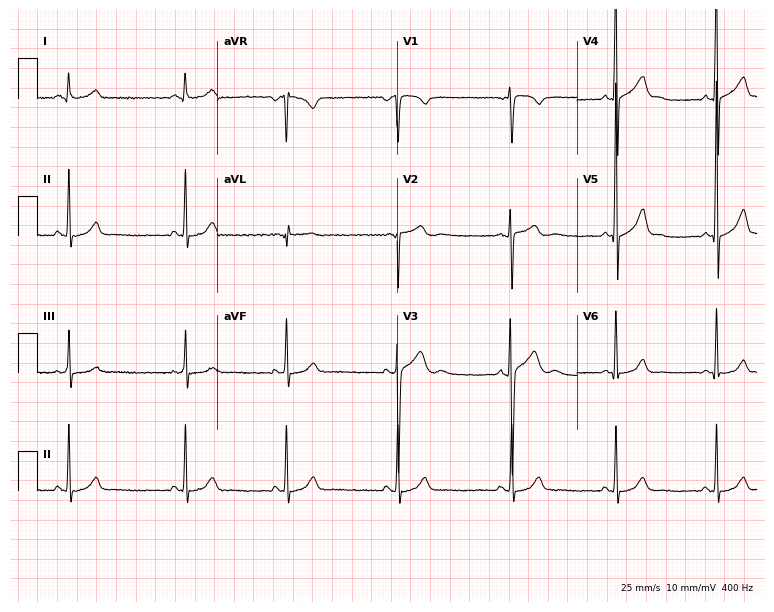
12-lead ECG from a man, 22 years old (7.3-second recording at 400 Hz). Recorded interpretation: within normal limits.